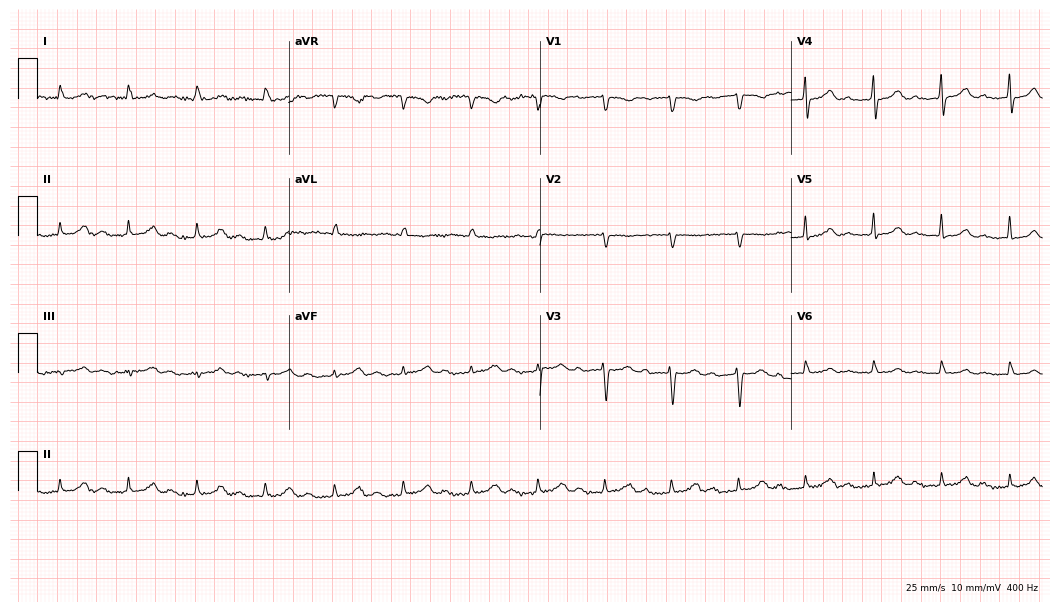
12-lead ECG from a female, 84 years old. Shows first-degree AV block.